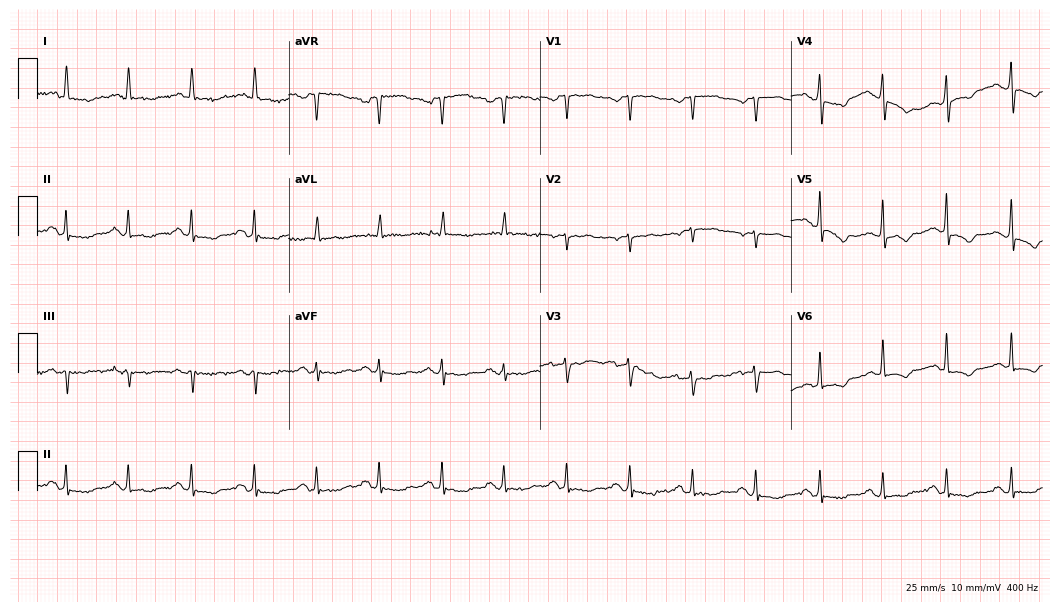
Standard 12-lead ECG recorded from a female patient, 63 years old (10.2-second recording at 400 Hz). None of these six findings is recorded: first-degree AV block, right bundle branch block, left bundle branch block, sinus bradycardia, atrial fibrillation, sinus tachycardia.